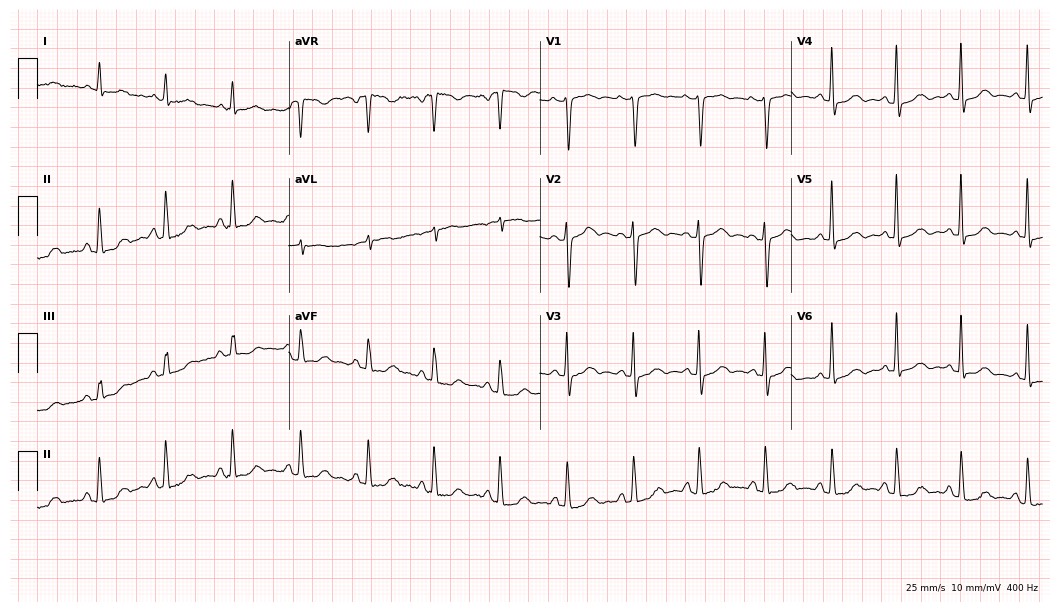
12-lead ECG from a 67-year-old female. Screened for six findings — first-degree AV block, right bundle branch block, left bundle branch block, sinus bradycardia, atrial fibrillation, sinus tachycardia — none is recorded.